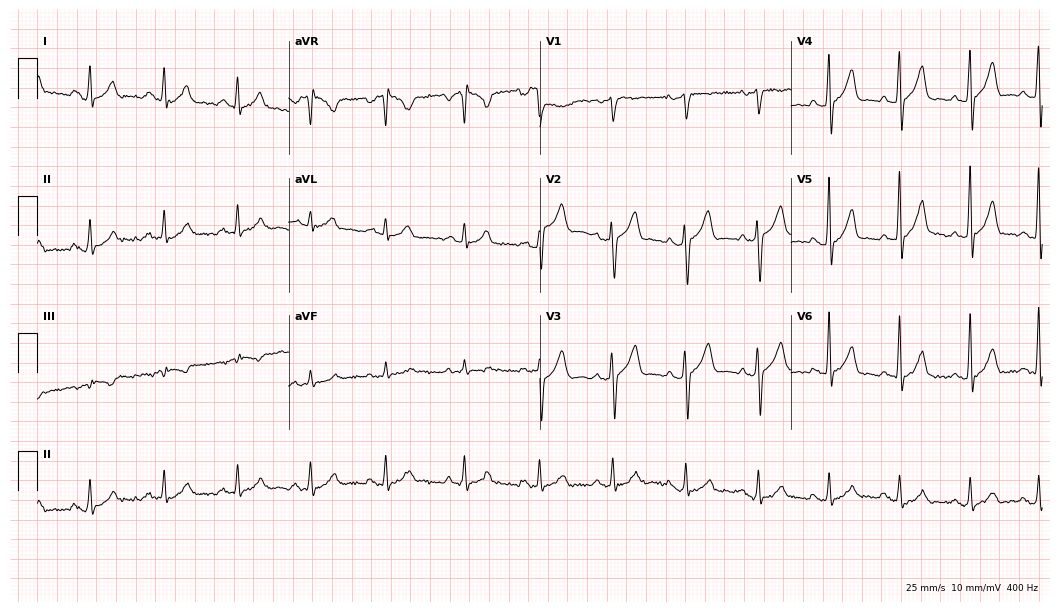
ECG (10.2-second recording at 400 Hz) — a 36-year-old male. Screened for six findings — first-degree AV block, right bundle branch block (RBBB), left bundle branch block (LBBB), sinus bradycardia, atrial fibrillation (AF), sinus tachycardia — none is recorded. Only these six findings were labelled.